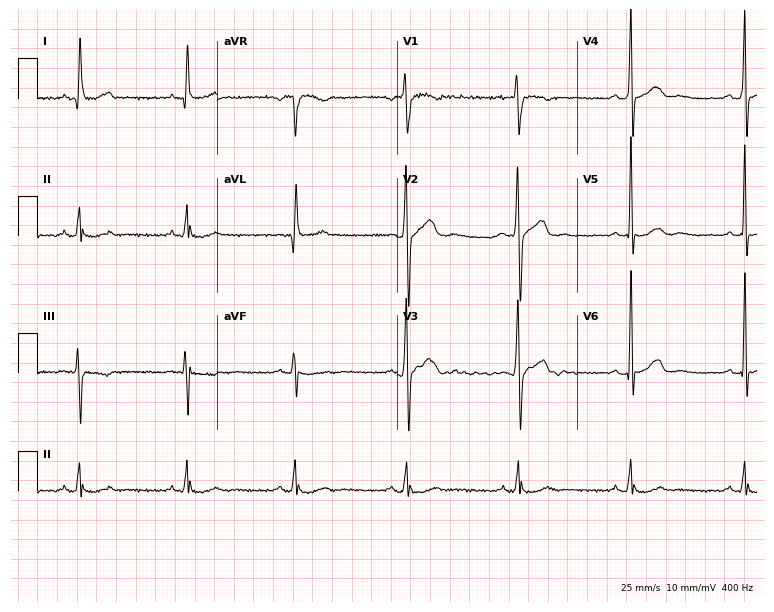
12-lead ECG from a man, 64 years old (7.3-second recording at 400 Hz). No first-degree AV block, right bundle branch block (RBBB), left bundle branch block (LBBB), sinus bradycardia, atrial fibrillation (AF) or sinus tachycardia recorded for this tracing. Findings outside these six are not listed.